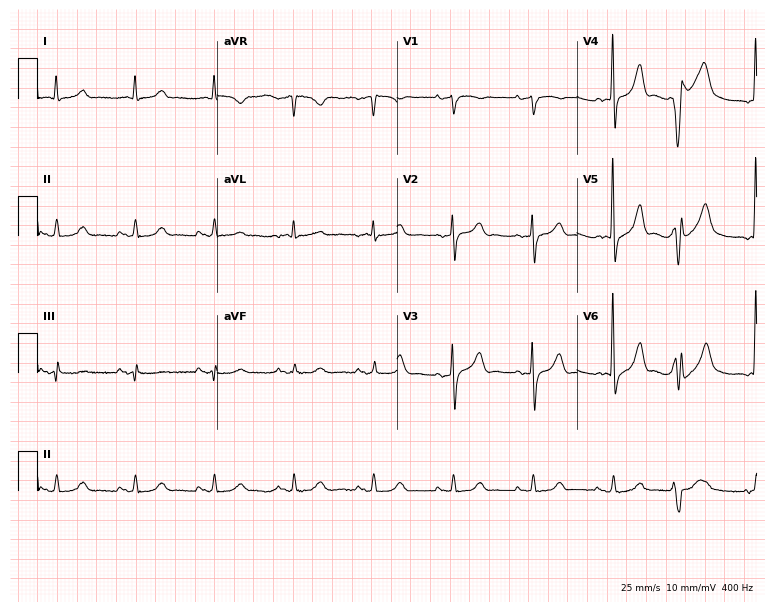
12-lead ECG from an 81-year-old male. No first-degree AV block, right bundle branch block, left bundle branch block, sinus bradycardia, atrial fibrillation or sinus tachycardia recorded for this tracing.